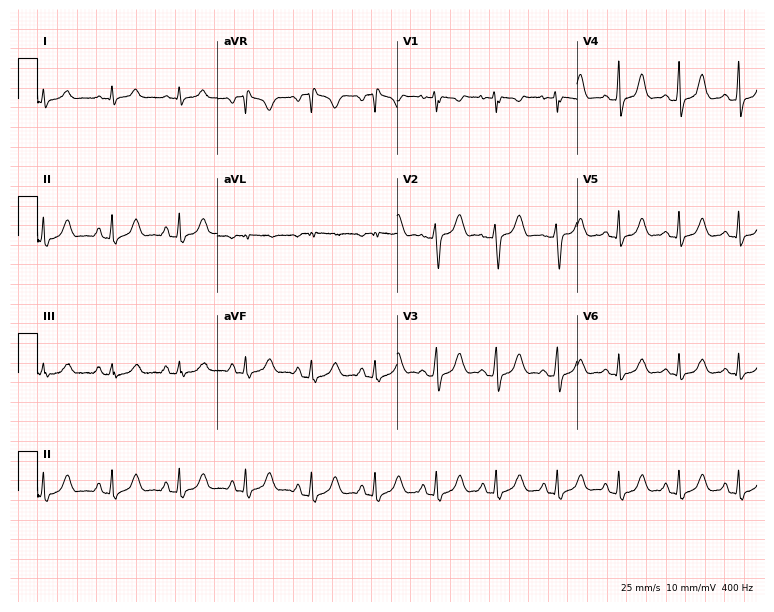
Resting 12-lead electrocardiogram. Patient: a 29-year-old female. Read as a normal ECG.